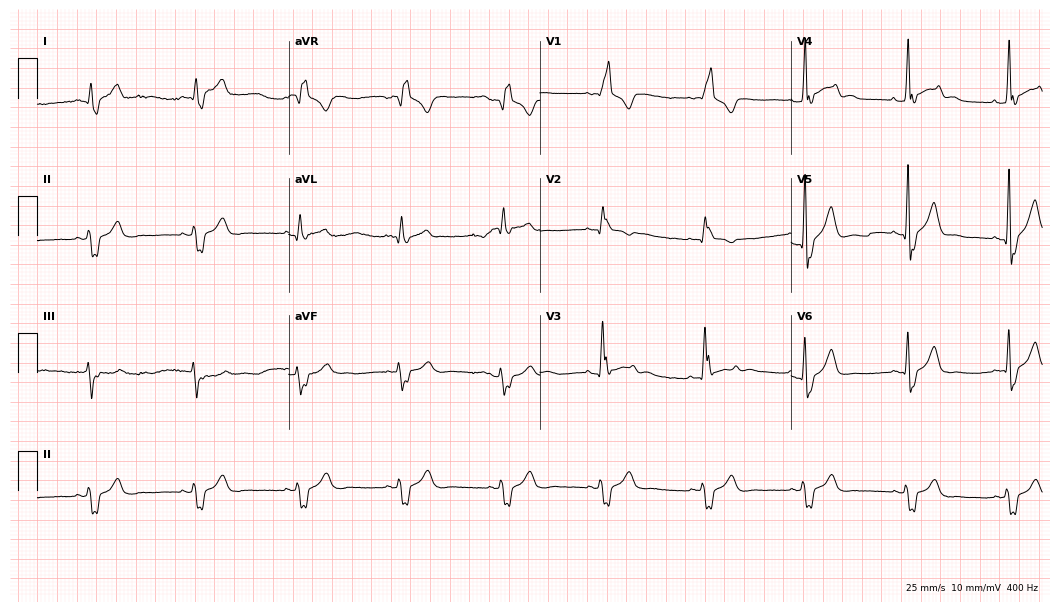
12-lead ECG (10.2-second recording at 400 Hz) from a male patient, 46 years old. Findings include right bundle branch block (RBBB).